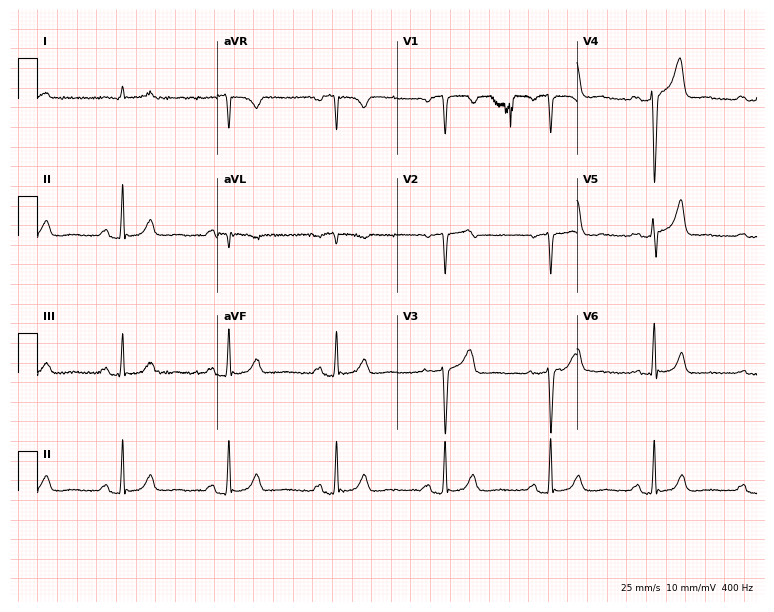
12-lead ECG from a 54-year-old male patient. Labelled as a normal ECG.